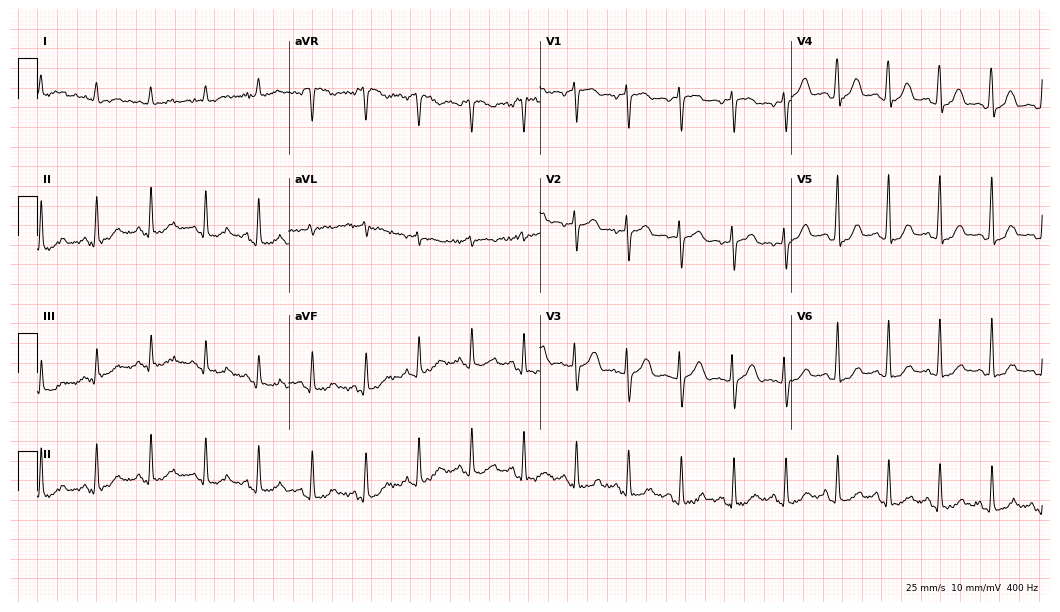
ECG — a female, 53 years old. Findings include sinus tachycardia (a sinus rate of 100 beats per minute or more).